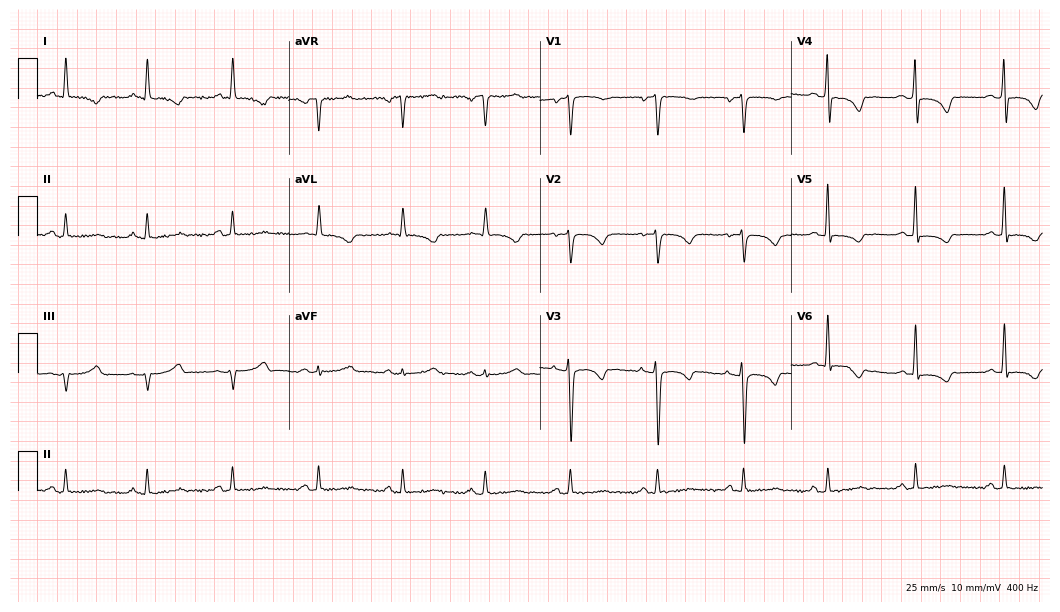
12-lead ECG from a female patient, 69 years old (10.2-second recording at 400 Hz). No first-degree AV block, right bundle branch block (RBBB), left bundle branch block (LBBB), sinus bradycardia, atrial fibrillation (AF) or sinus tachycardia recorded for this tracing. Other findings, if any, are not listed.